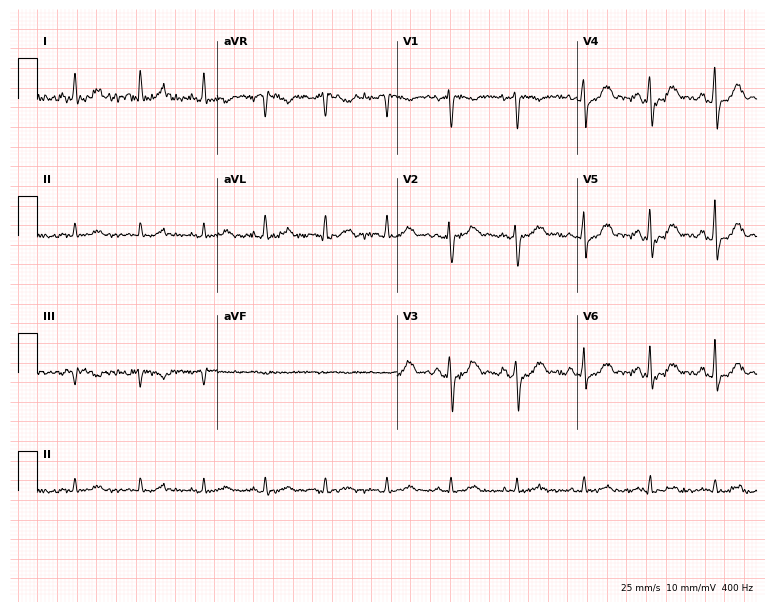
Standard 12-lead ECG recorded from a female, 45 years old. Read as a normal ECG.